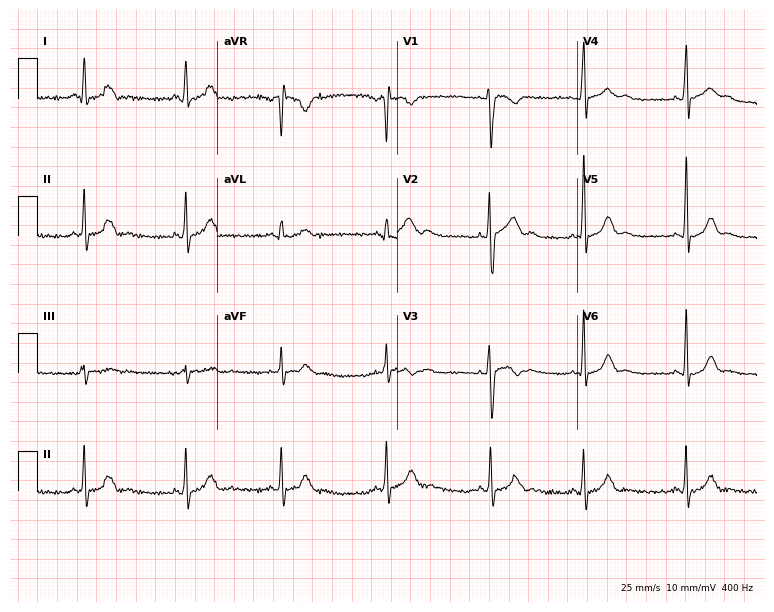
ECG — a man, 24 years old. Labelled as a normal ECG.